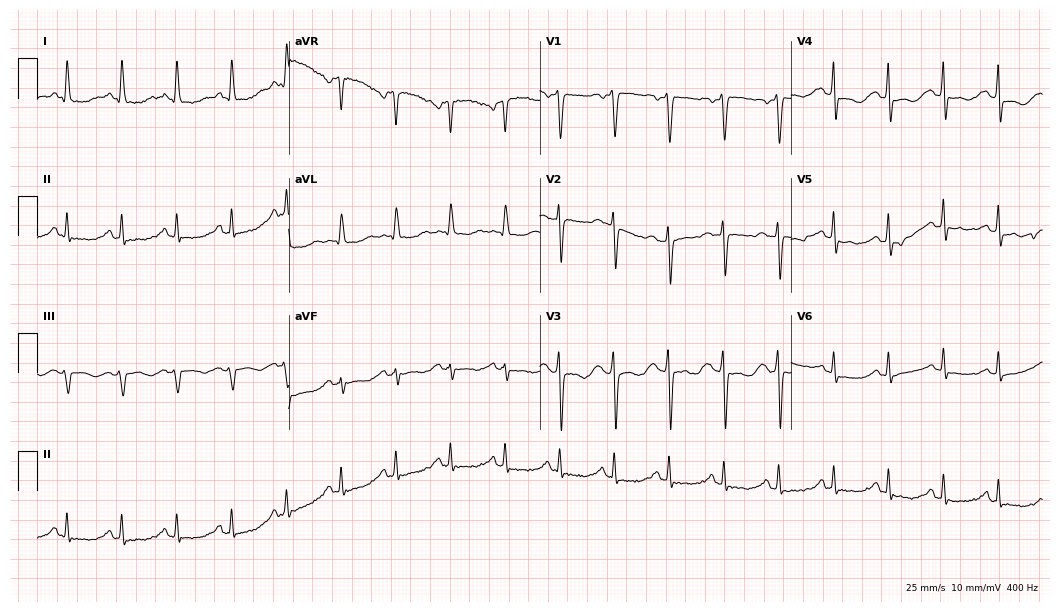
12-lead ECG from a female, 47 years old. Findings include sinus tachycardia (a sinus rate of 100 beats per minute or more).